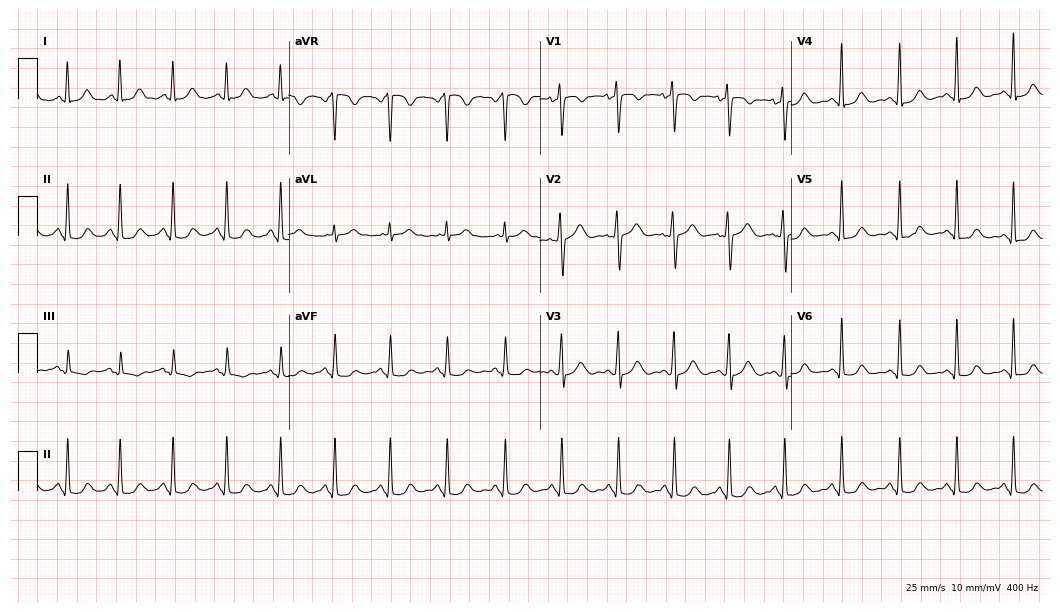
Resting 12-lead electrocardiogram (10.2-second recording at 400 Hz). Patient: a woman, 36 years old. The tracing shows sinus tachycardia (a sinus rate of 100 beats per minute or more).